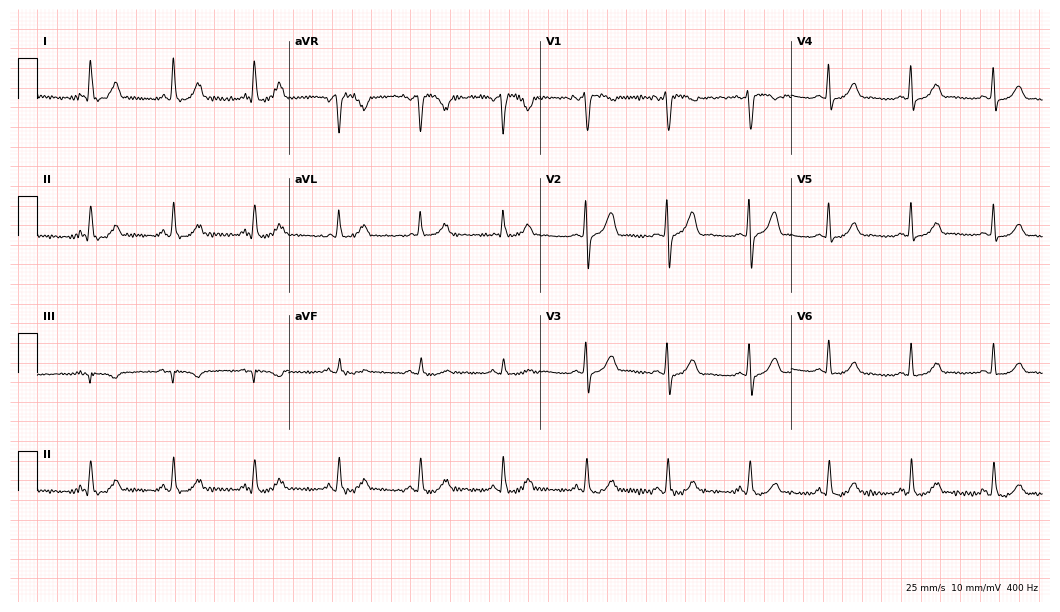
Standard 12-lead ECG recorded from a 48-year-old female (10.2-second recording at 400 Hz). Read as a normal ECG.